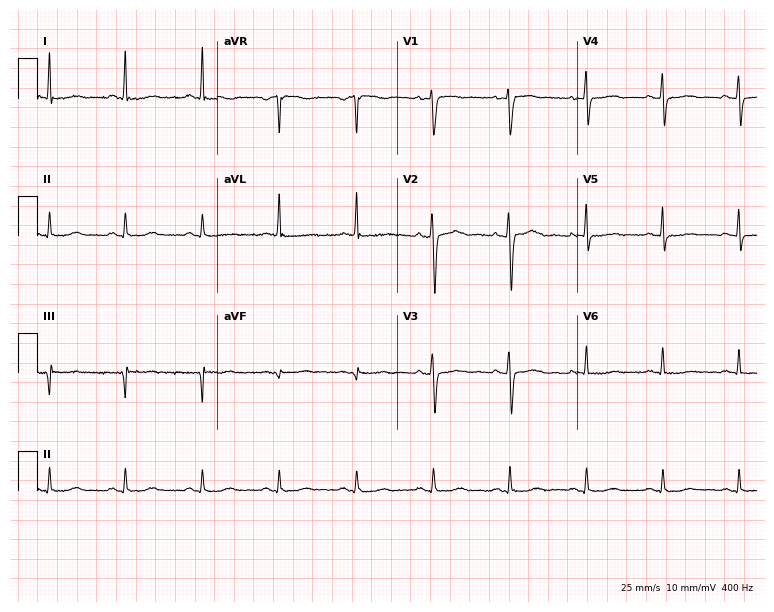
Electrocardiogram (7.3-second recording at 400 Hz), a female, 55 years old. Of the six screened findings (first-degree AV block, right bundle branch block, left bundle branch block, sinus bradycardia, atrial fibrillation, sinus tachycardia), none is recorded.